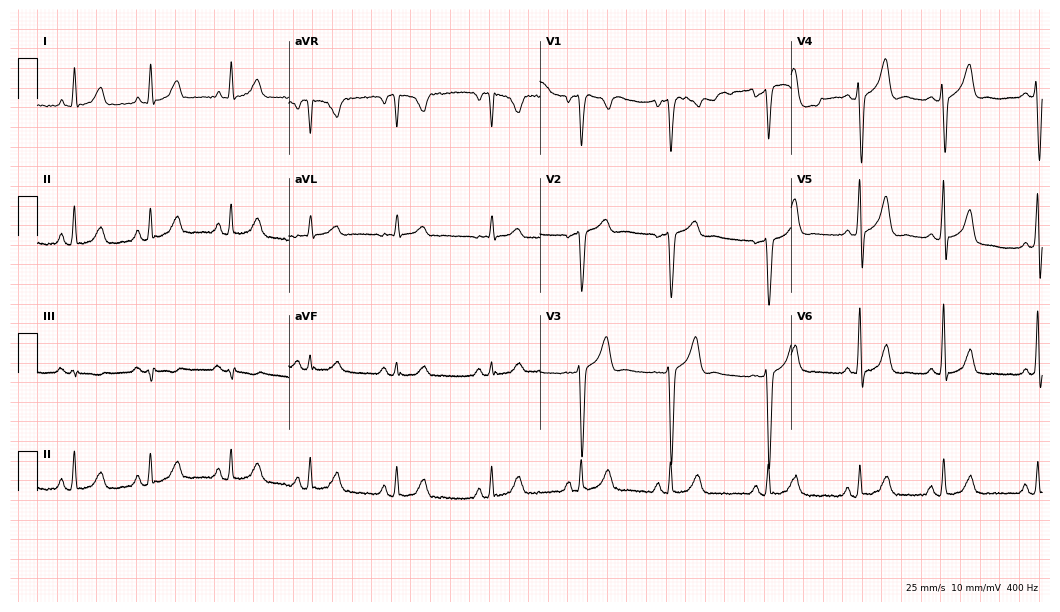
Standard 12-lead ECG recorded from a man, 46 years old (10.2-second recording at 400 Hz). None of these six findings is recorded: first-degree AV block, right bundle branch block (RBBB), left bundle branch block (LBBB), sinus bradycardia, atrial fibrillation (AF), sinus tachycardia.